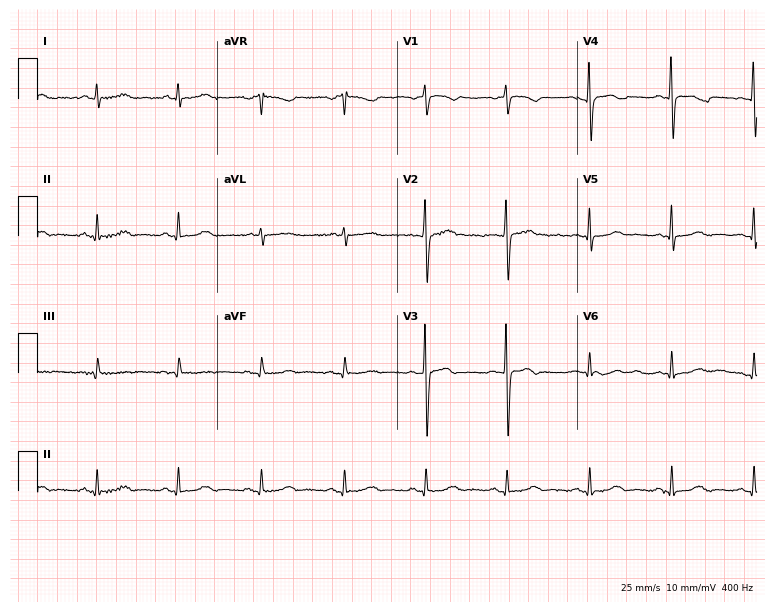
12-lead ECG from a 63-year-old woman (7.3-second recording at 400 Hz). No first-degree AV block, right bundle branch block, left bundle branch block, sinus bradycardia, atrial fibrillation or sinus tachycardia recorded for this tracing.